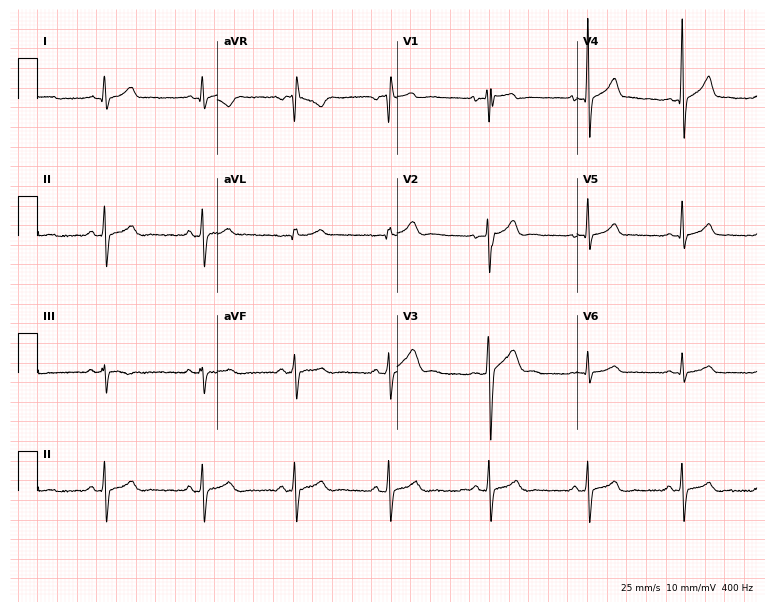
Electrocardiogram (7.3-second recording at 400 Hz), an 18-year-old male patient. Overall reading on record: normal ECG.